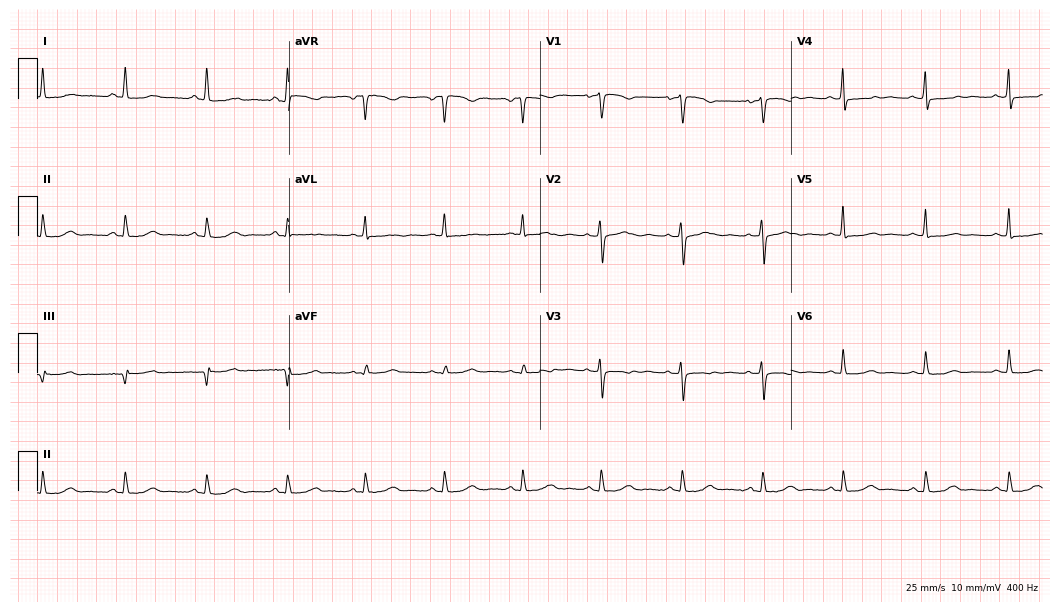
Standard 12-lead ECG recorded from a 54-year-old woman. None of these six findings is recorded: first-degree AV block, right bundle branch block, left bundle branch block, sinus bradycardia, atrial fibrillation, sinus tachycardia.